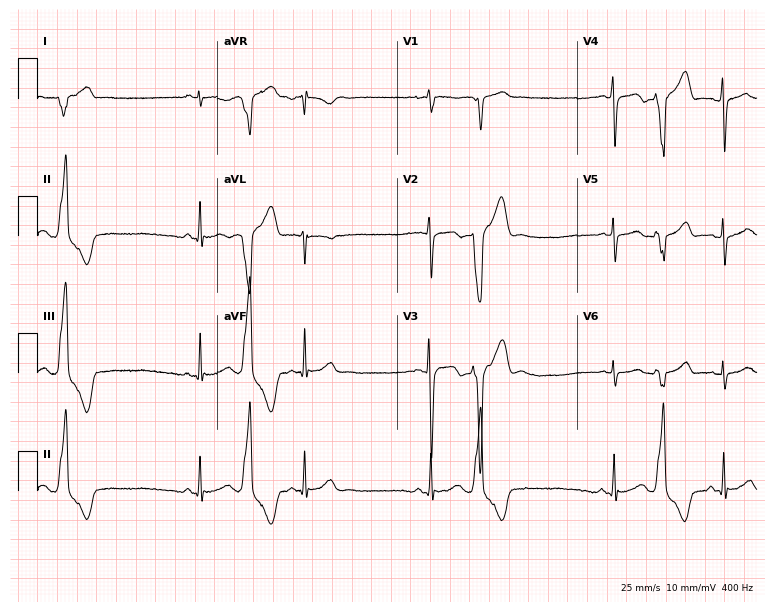
Resting 12-lead electrocardiogram (7.3-second recording at 400 Hz). Patient: a female, 17 years old. None of these six findings is recorded: first-degree AV block, right bundle branch block, left bundle branch block, sinus bradycardia, atrial fibrillation, sinus tachycardia.